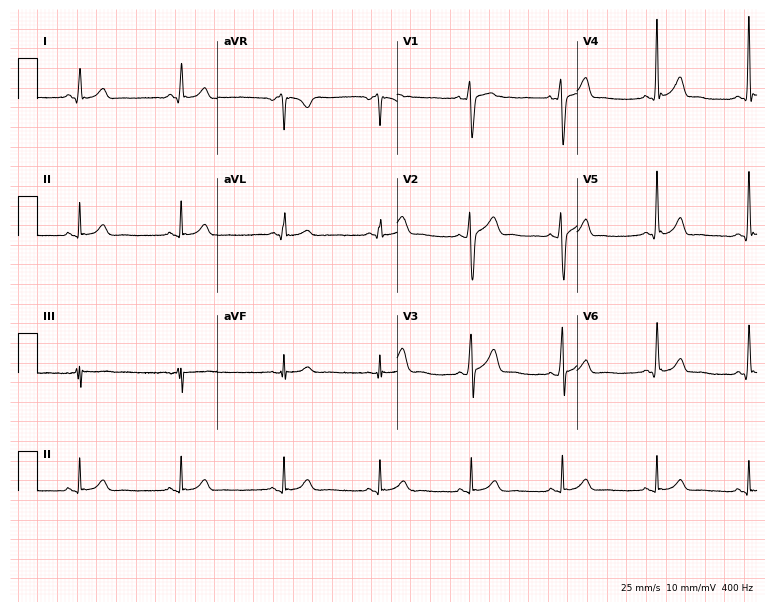
Resting 12-lead electrocardiogram. Patient: a male, 27 years old. Read as a normal ECG.